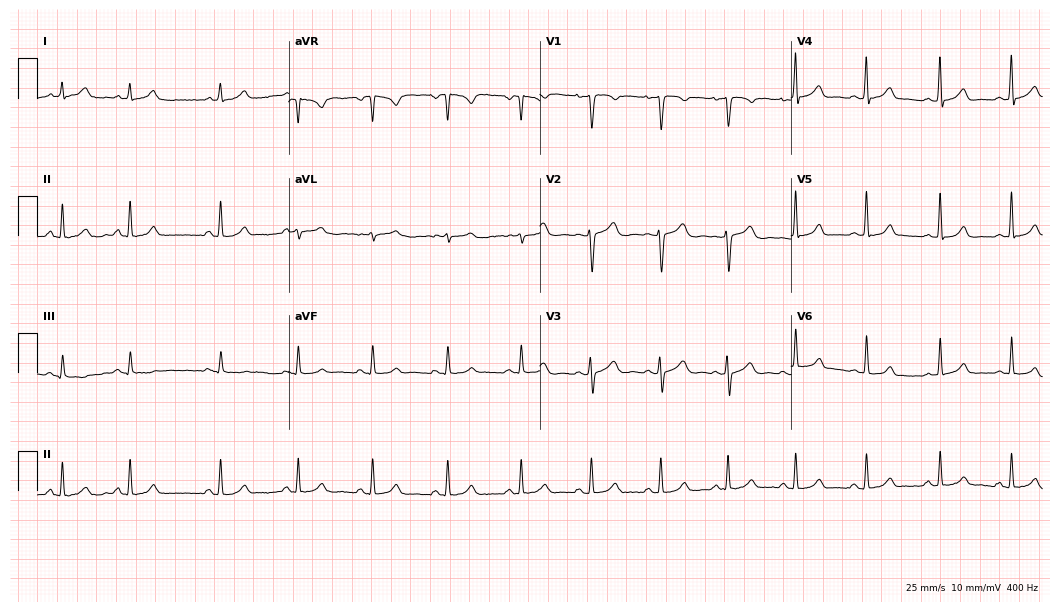
12-lead ECG from a 22-year-old female. Recorded interpretation: within normal limits.